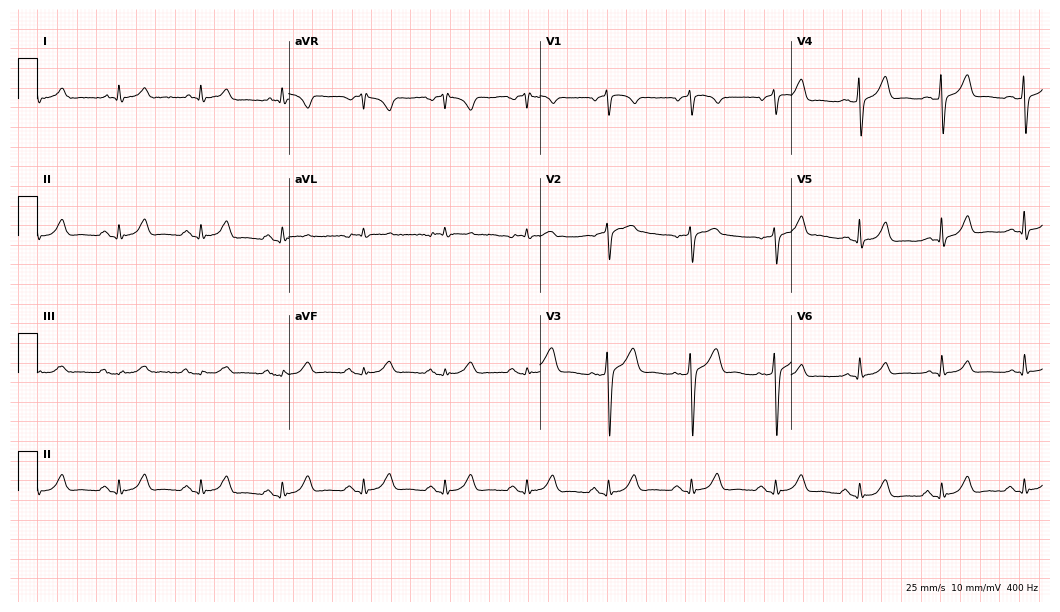
ECG — a 59-year-old male patient. Labelled as a normal ECG.